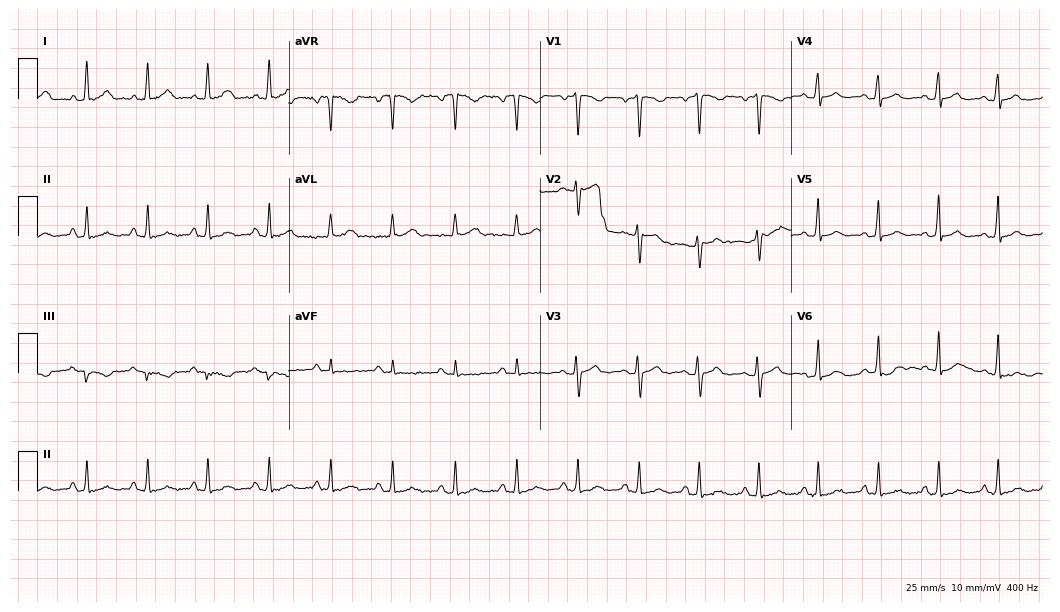
ECG — a female patient, 47 years old. Labelled as a normal ECG.